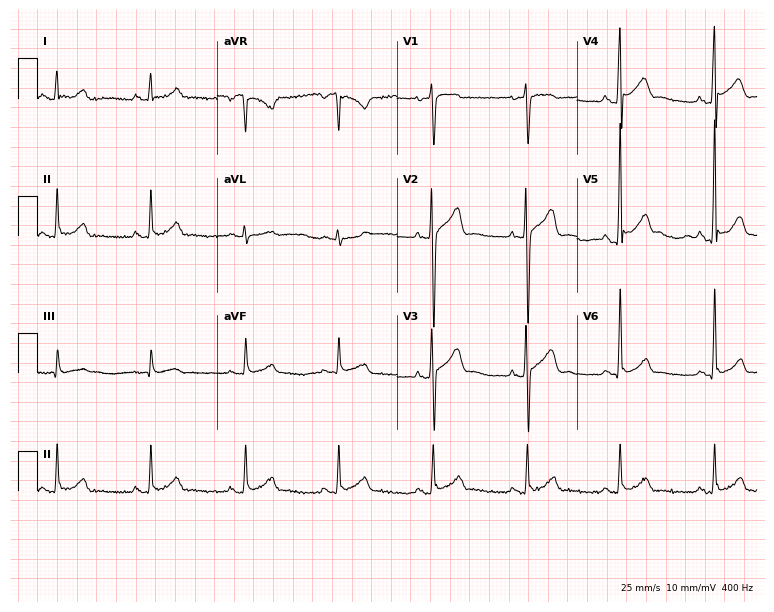
12-lead ECG from a male, 35 years old. Screened for six findings — first-degree AV block, right bundle branch block (RBBB), left bundle branch block (LBBB), sinus bradycardia, atrial fibrillation (AF), sinus tachycardia — none is recorded.